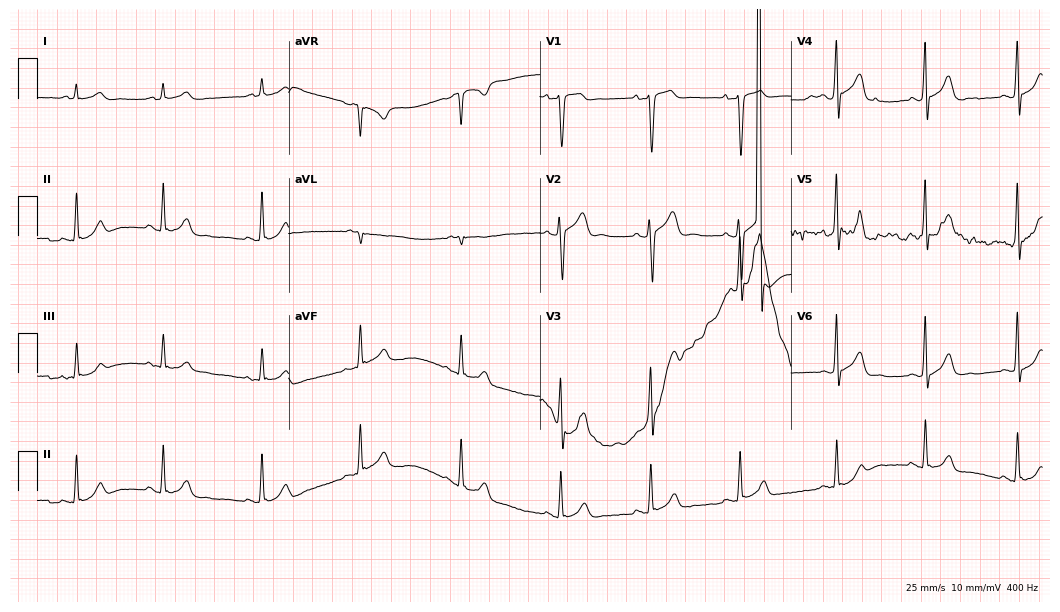
12-lead ECG from a 20-year-old man. Labelled as a normal ECG.